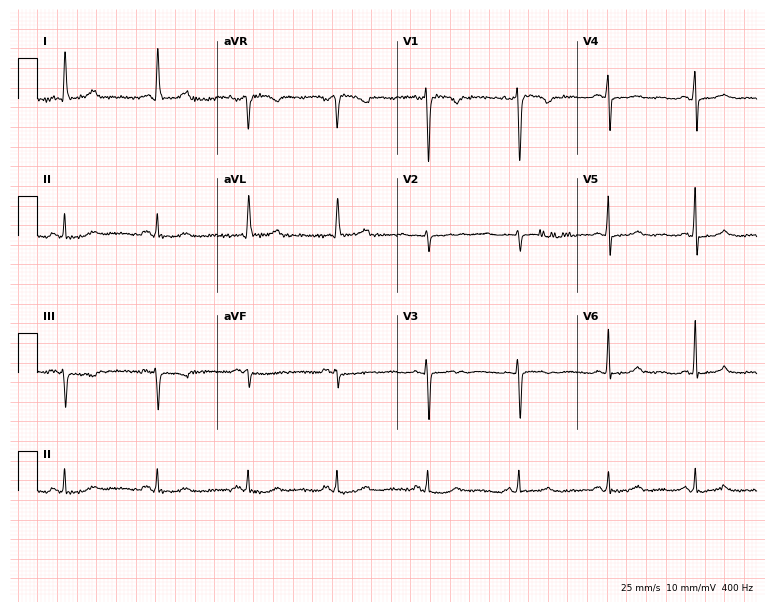
12-lead ECG from a woman, 67 years old. Screened for six findings — first-degree AV block, right bundle branch block (RBBB), left bundle branch block (LBBB), sinus bradycardia, atrial fibrillation (AF), sinus tachycardia — none is recorded.